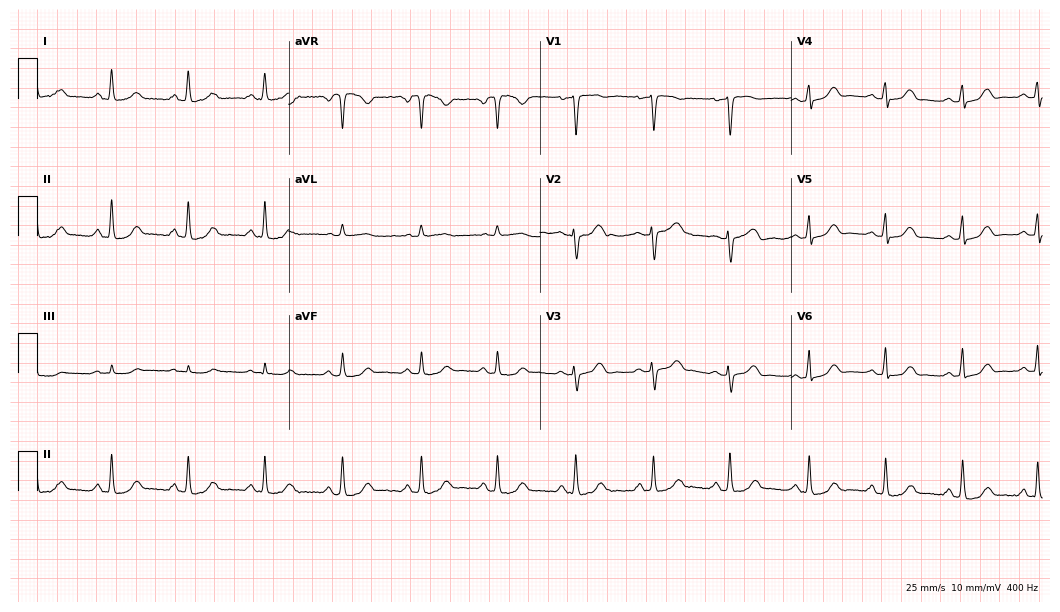
ECG (10.2-second recording at 400 Hz) — a female, 46 years old. Labelled as a normal ECG.